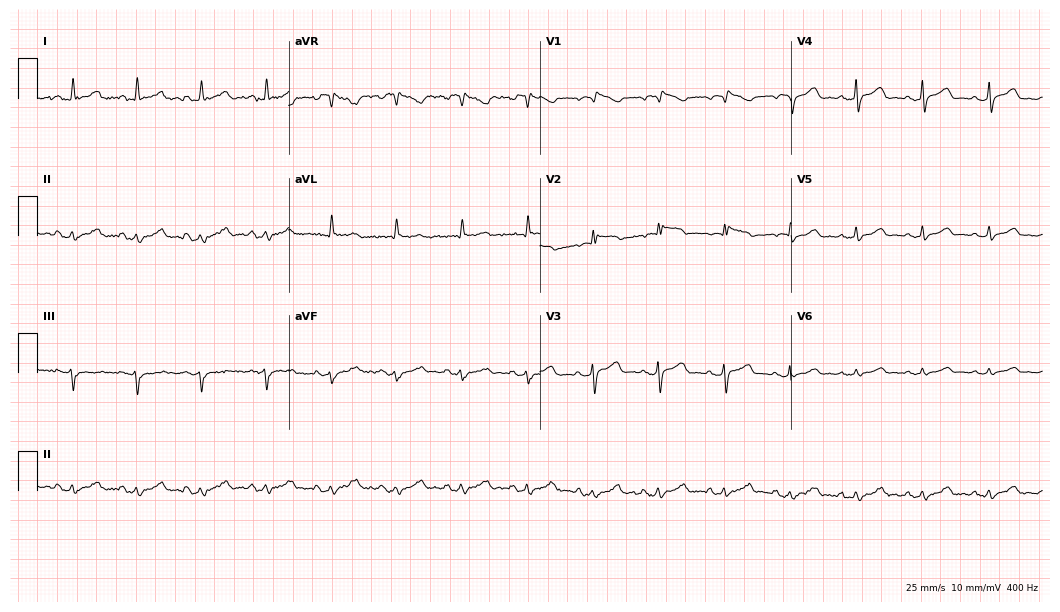
Electrocardiogram (10.2-second recording at 400 Hz), a female patient, 61 years old. Of the six screened findings (first-degree AV block, right bundle branch block, left bundle branch block, sinus bradycardia, atrial fibrillation, sinus tachycardia), none is recorded. Other findings, if any, are not listed.